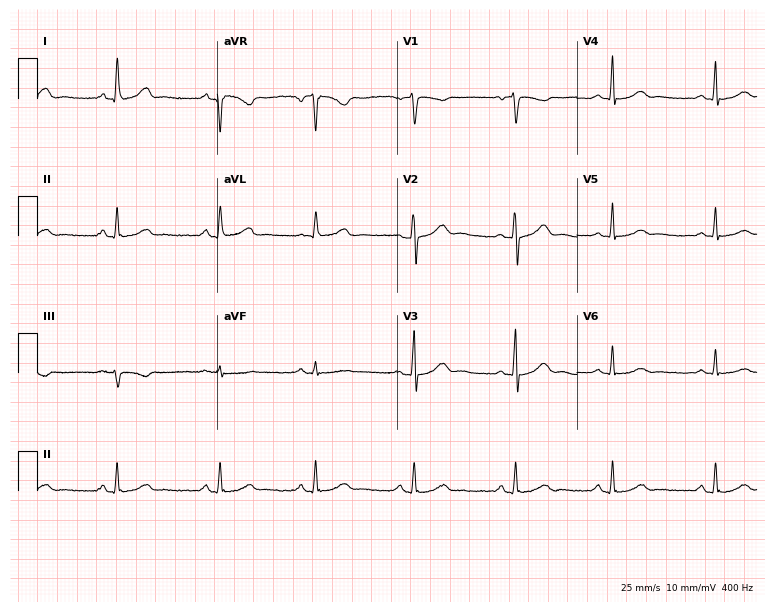
12-lead ECG from a woman, 56 years old. Recorded interpretation: within normal limits.